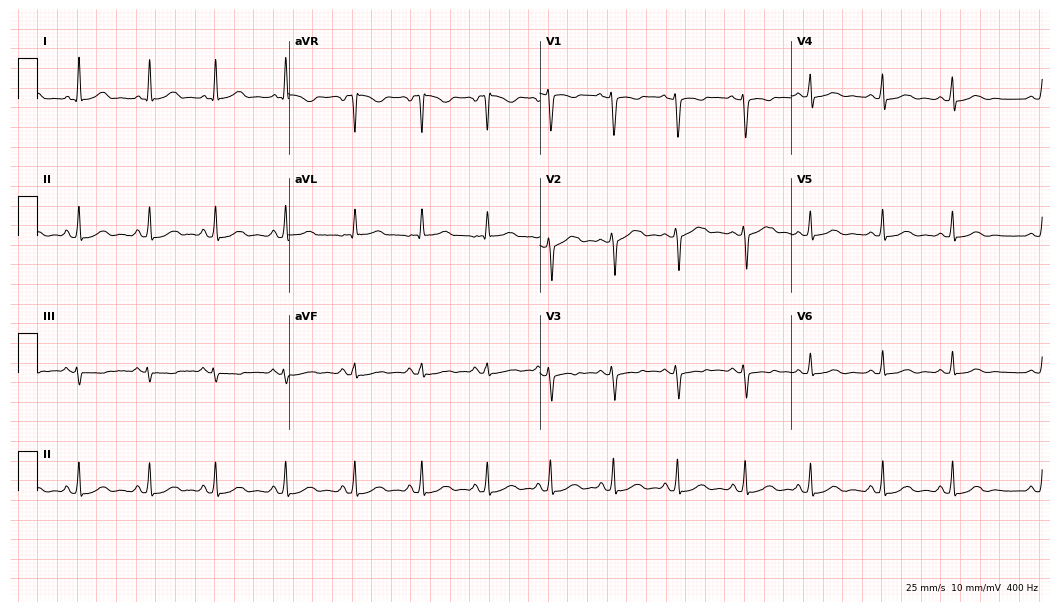
Electrocardiogram, a woman, 40 years old. Of the six screened findings (first-degree AV block, right bundle branch block (RBBB), left bundle branch block (LBBB), sinus bradycardia, atrial fibrillation (AF), sinus tachycardia), none is recorded.